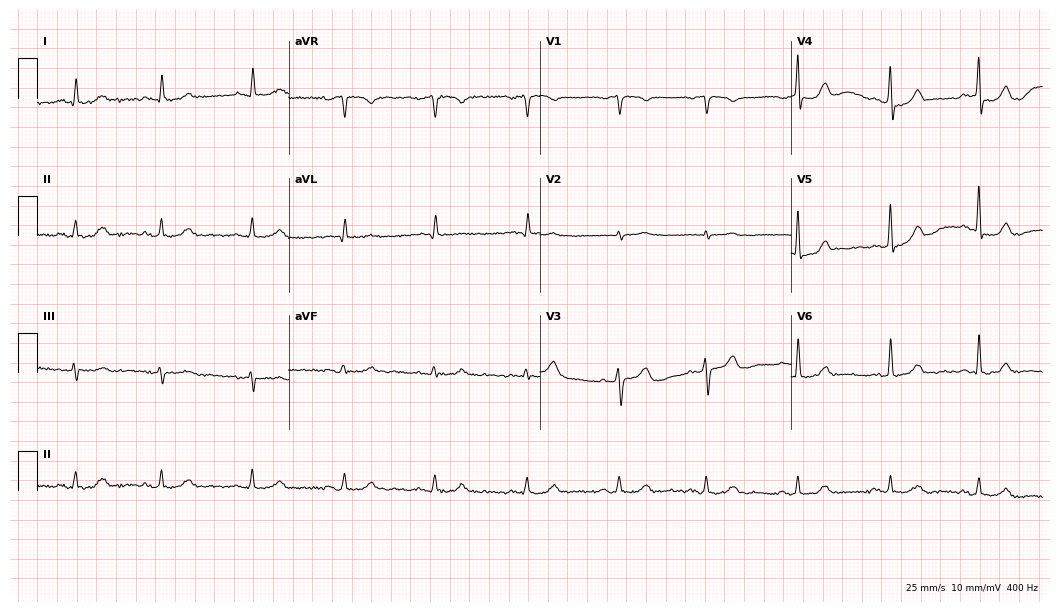
12-lead ECG from a male, 72 years old (10.2-second recording at 400 Hz). Recorded interpretation: within normal limits.